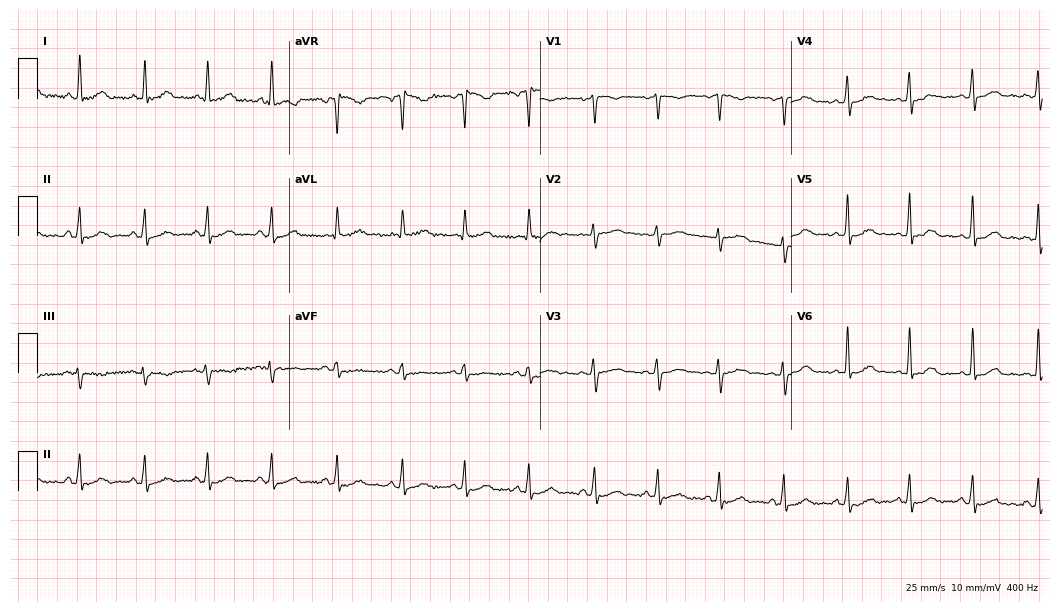
12-lead ECG from a 38-year-old female. Recorded interpretation: within normal limits.